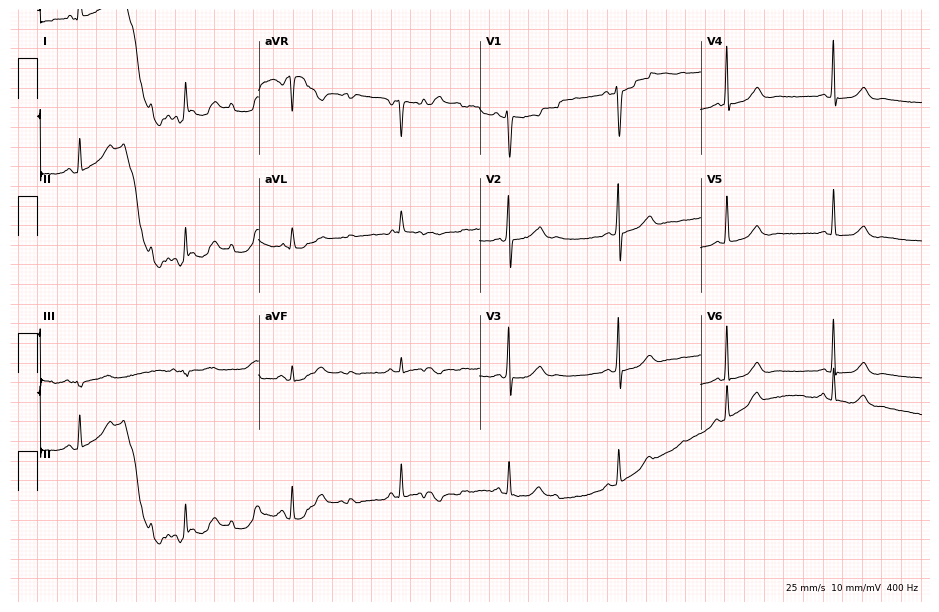
12-lead ECG from a female patient, 77 years old (9-second recording at 400 Hz). No first-degree AV block, right bundle branch block (RBBB), left bundle branch block (LBBB), sinus bradycardia, atrial fibrillation (AF) or sinus tachycardia recorded for this tracing.